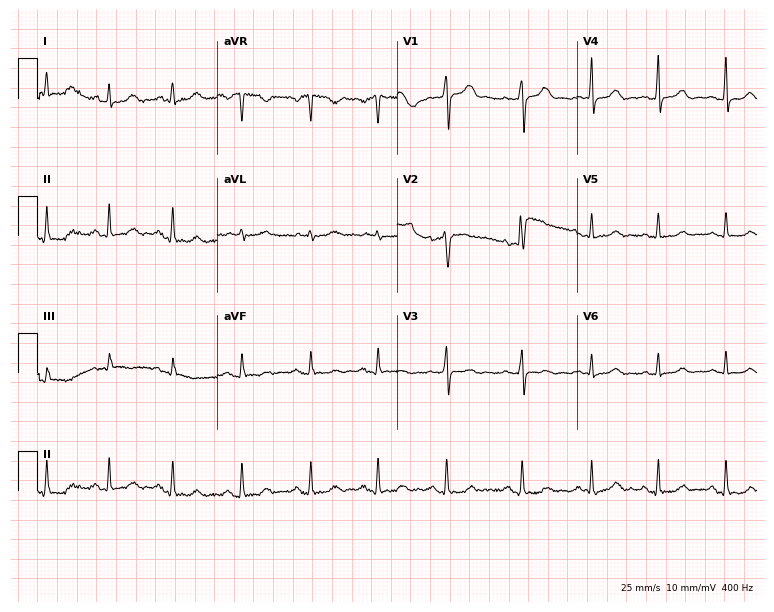
12-lead ECG from a female patient, 45 years old. Labelled as a normal ECG.